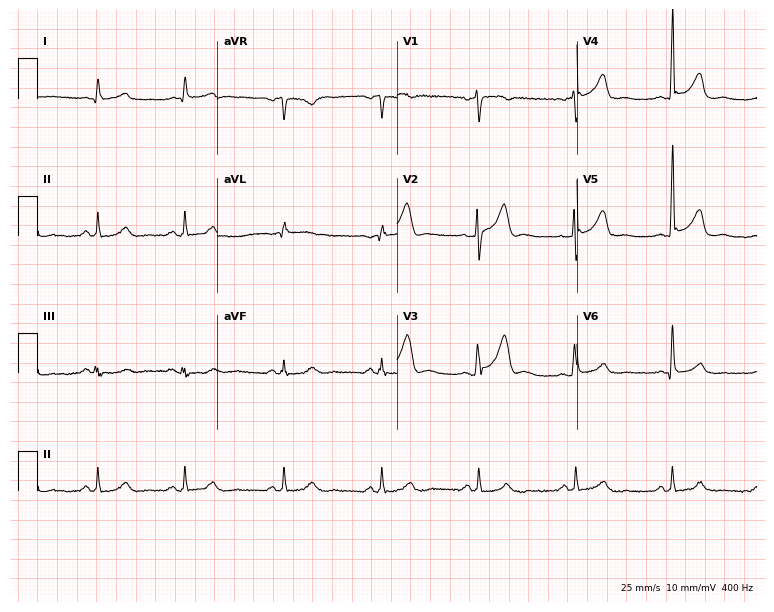
12-lead ECG (7.3-second recording at 400 Hz) from a male, 56 years old. Screened for six findings — first-degree AV block, right bundle branch block (RBBB), left bundle branch block (LBBB), sinus bradycardia, atrial fibrillation (AF), sinus tachycardia — none is recorded.